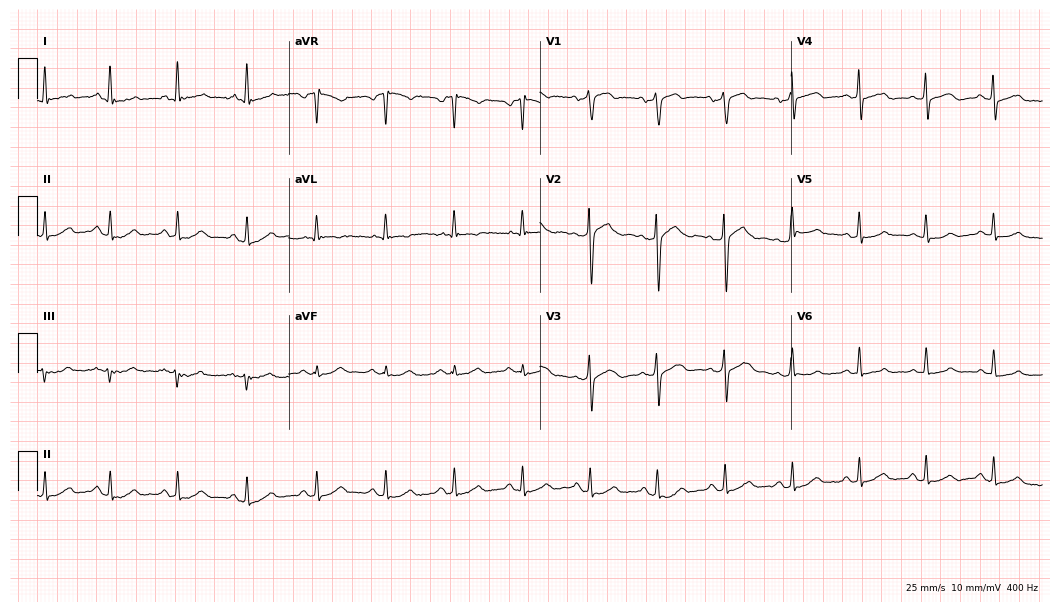
12-lead ECG (10.2-second recording at 400 Hz) from a 57-year-old male. Labelled as a normal ECG.